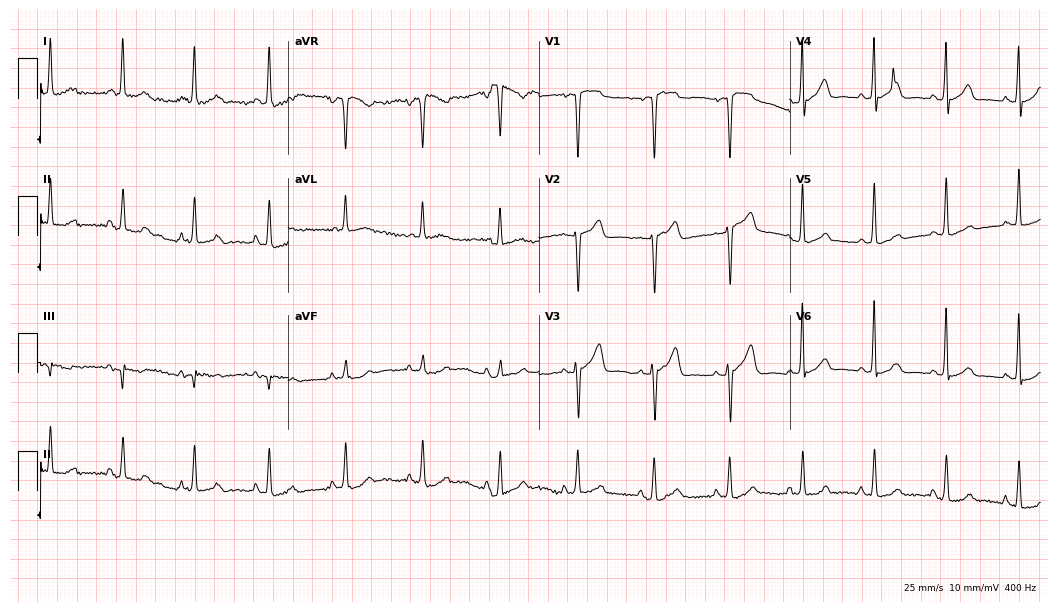
12-lead ECG (10.2-second recording at 400 Hz) from a woman, 79 years old. Labelled as a normal ECG.